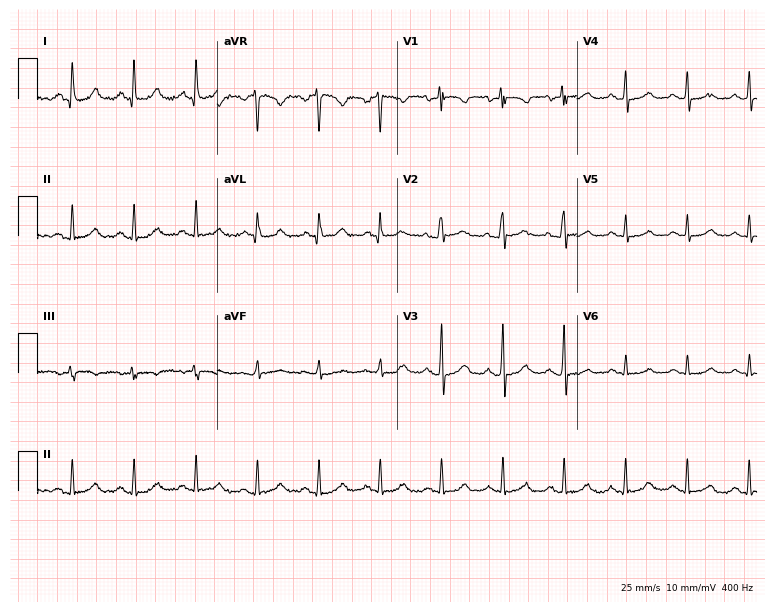
Standard 12-lead ECG recorded from a 71-year-old female patient (7.3-second recording at 400 Hz). Read as a normal ECG.